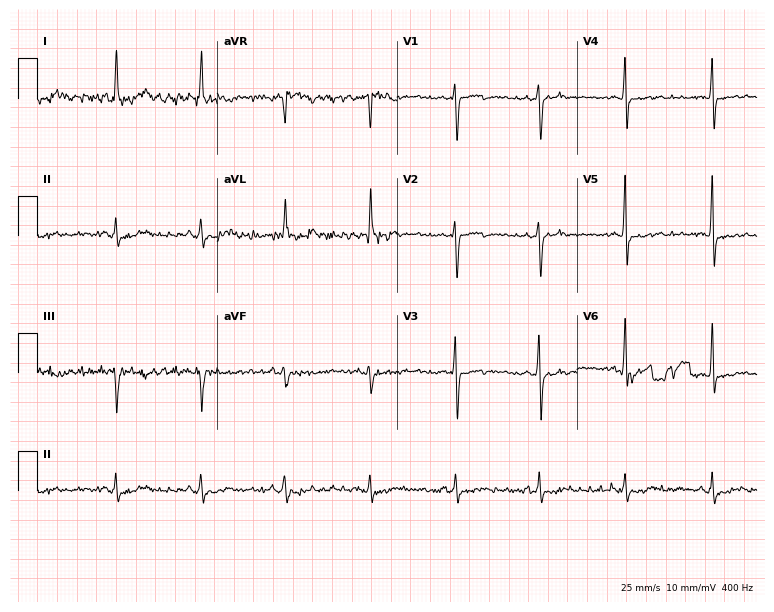
Electrocardiogram, a woman, 51 years old. Of the six screened findings (first-degree AV block, right bundle branch block (RBBB), left bundle branch block (LBBB), sinus bradycardia, atrial fibrillation (AF), sinus tachycardia), none is recorded. Findings outside these six are not listed.